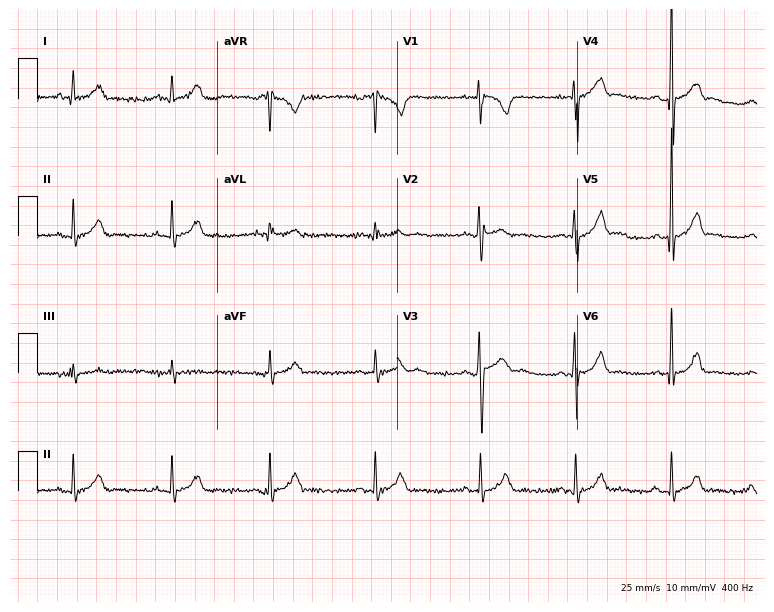
ECG (7.3-second recording at 400 Hz) — a 17-year-old male patient. Screened for six findings — first-degree AV block, right bundle branch block, left bundle branch block, sinus bradycardia, atrial fibrillation, sinus tachycardia — none is recorded. Findings outside these six are not listed.